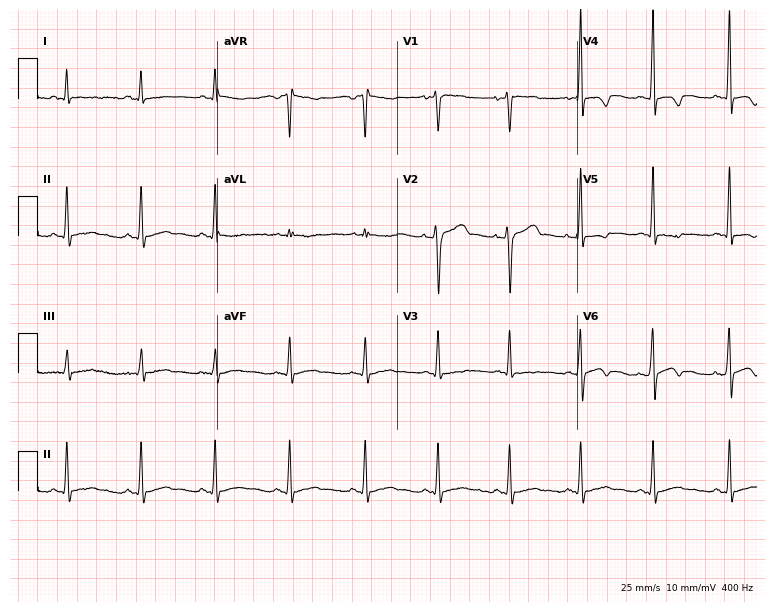
ECG — a 21-year-old male patient. Screened for six findings — first-degree AV block, right bundle branch block, left bundle branch block, sinus bradycardia, atrial fibrillation, sinus tachycardia — none is recorded. Findings outside these six are not listed.